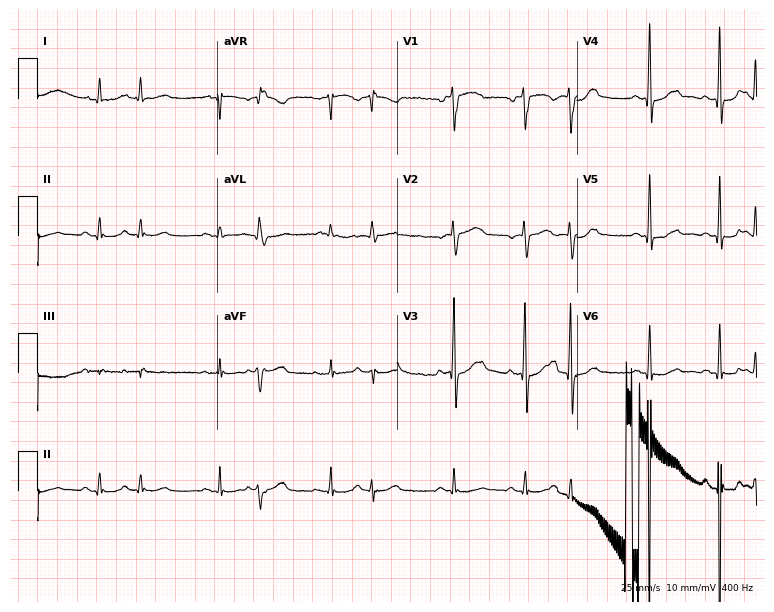
ECG — a man, 80 years old. Screened for six findings — first-degree AV block, right bundle branch block, left bundle branch block, sinus bradycardia, atrial fibrillation, sinus tachycardia — none is recorded. Findings outside these six are not listed.